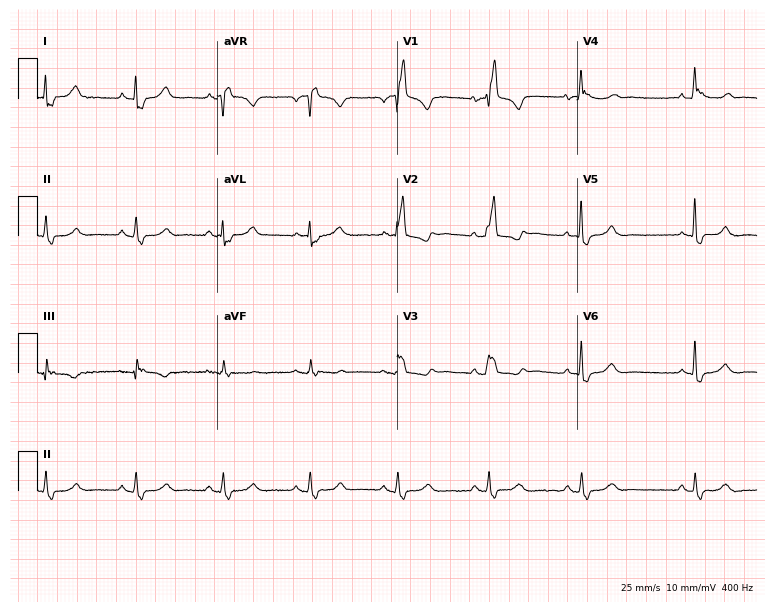
Electrocardiogram (7.3-second recording at 400 Hz), a 59-year-old female. Interpretation includes right bundle branch block (RBBB).